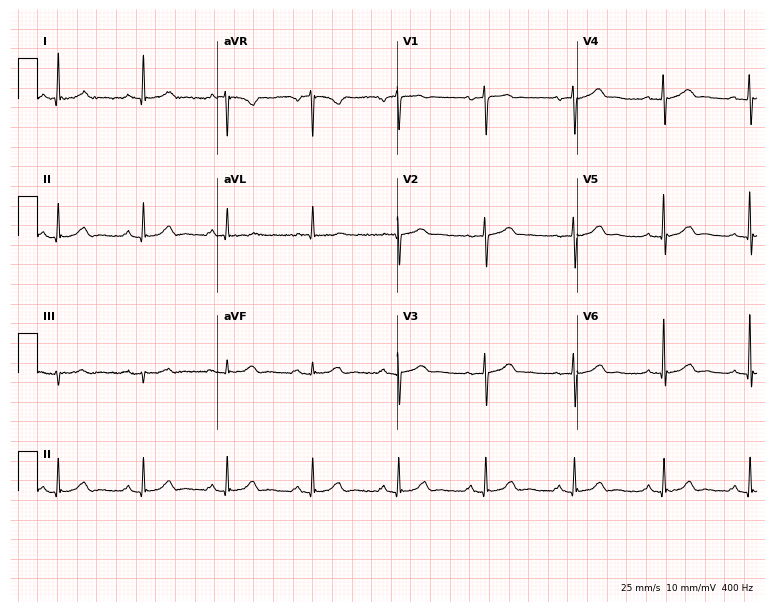
ECG (7.3-second recording at 400 Hz) — a female patient, 67 years old. Labelled as a normal ECG.